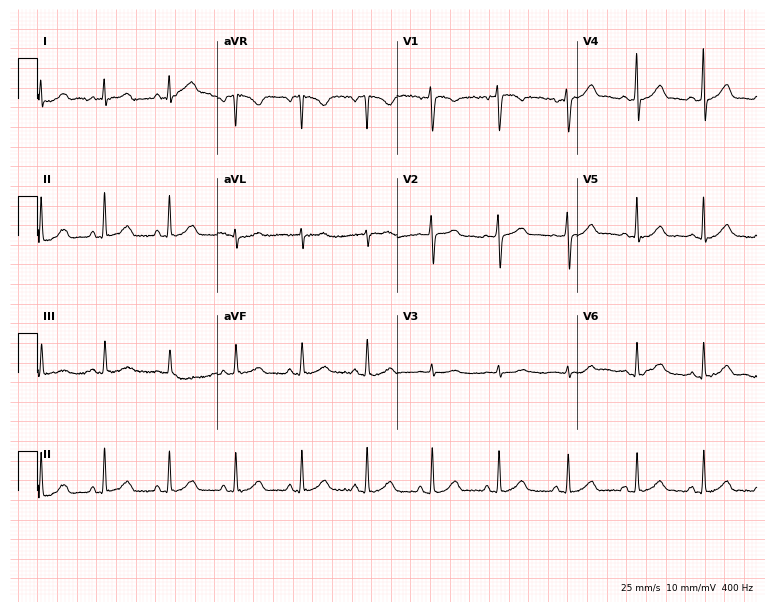
12-lead ECG from a woman, 38 years old. Recorded interpretation: within normal limits.